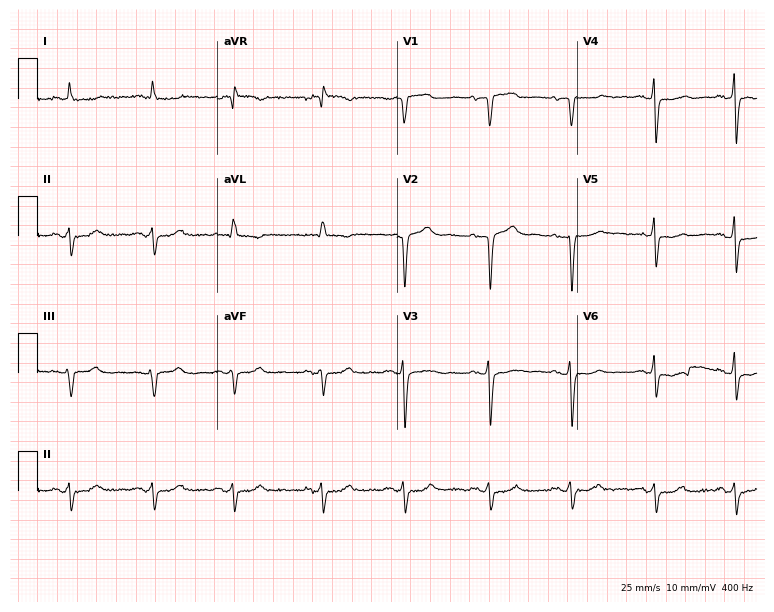
12-lead ECG (7.3-second recording at 400 Hz) from a female, 79 years old. Screened for six findings — first-degree AV block, right bundle branch block, left bundle branch block, sinus bradycardia, atrial fibrillation, sinus tachycardia — none is recorded.